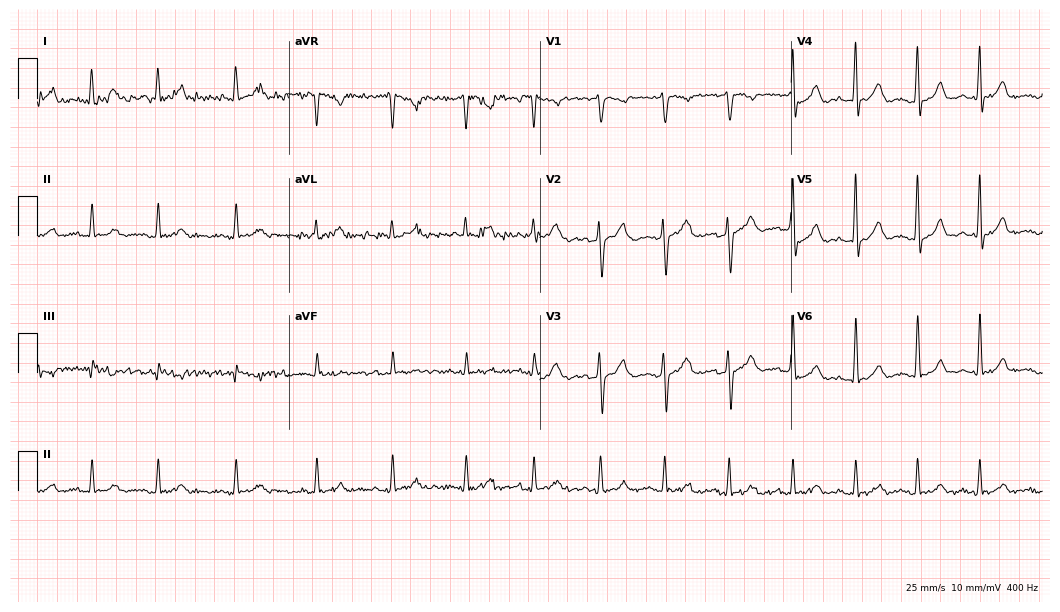
Electrocardiogram, a 46-year-old male. Of the six screened findings (first-degree AV block, right bundle branch block, left bundle branch block, sinus bradycardia, atrial fibrillation, sinus tachycardia), none is recorded. Findings outside these six are not listed.